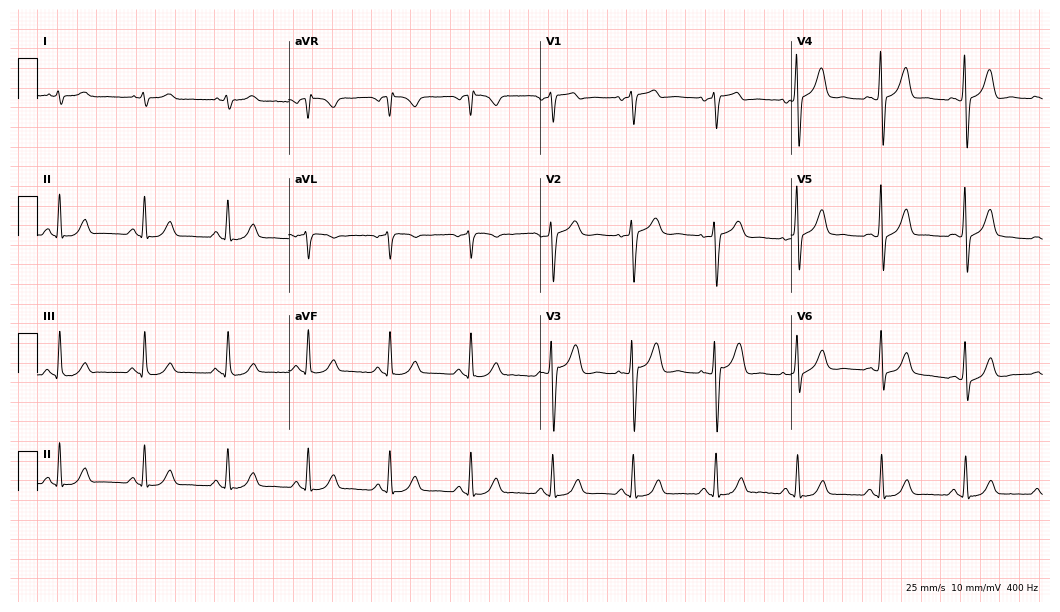
Electrocardiogram, an 83-year-old male patient. Of the six screened findings (first-degree AV block, right bundle branch block (RBBB), left bundle branch block (LBBB), sinus bradycardia, atrial fibrillation (AF), sinus tachycardia), none is recorded. Findings outside these six are not listed.